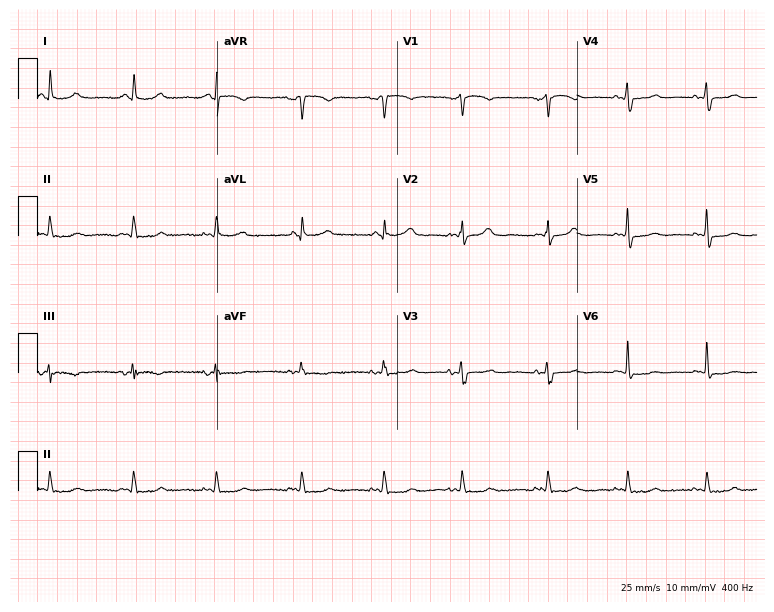
12-lead ECG from a woman, 75 years old. Screened for six findings — first-degree AV block, right bundle branch block, left bundle branch block, sinus bradycardia, atrial fibrillation, sinus tachycardia — none is recorded.